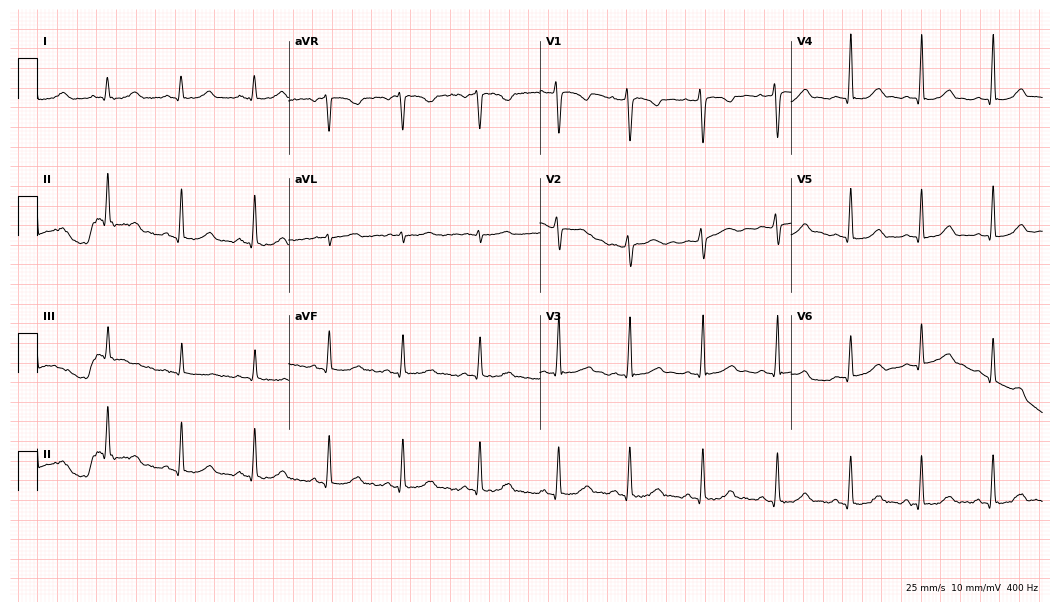
Electrocardiogram (10.2-second recording at 400 Hz), a 27-year-old woman. Overall reading on record: normal ECG.